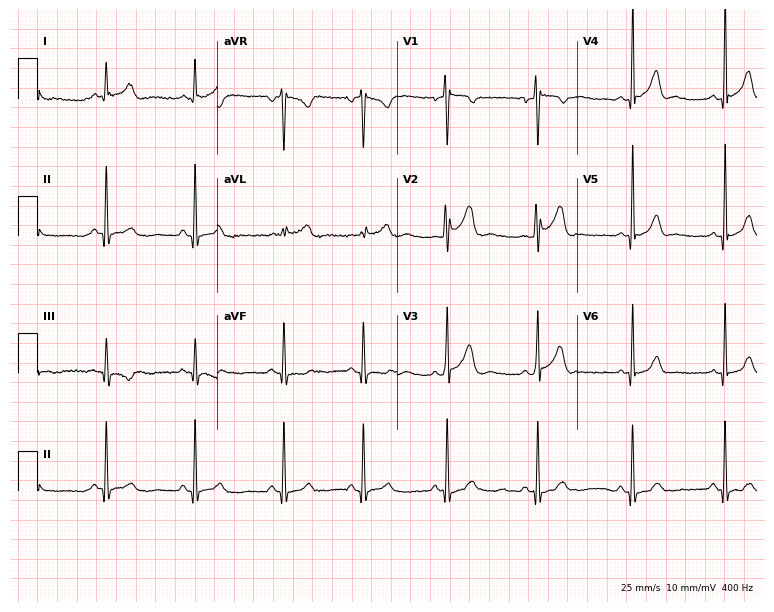
12-lead ECG from a man, 25 years old. Screened for six findings — first-degree AV block, right bundle branch block, left bundle branch block, sinus bradycardia, atrial fibrillation, sinus tachycardia — none is recorded. Other findings, if any, are not listed.